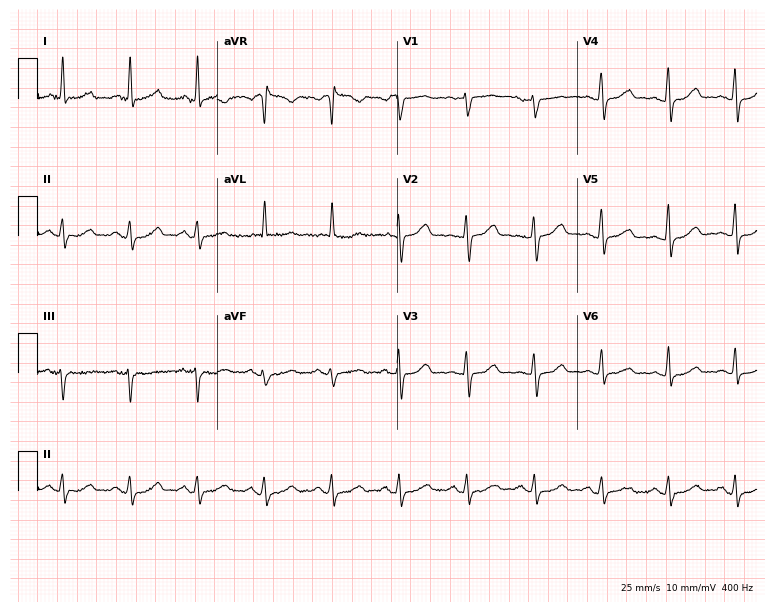
ECG — a woman, 67 years old. Labelled as a normal ECG.